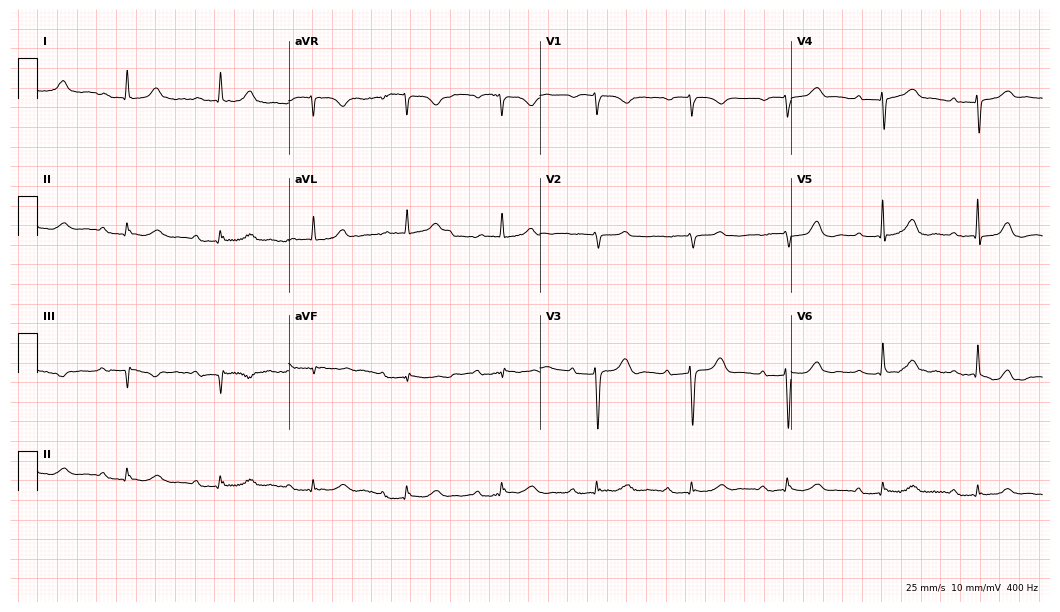
Electrocardiogram, a female, 85 years old. Interpretation includes first-degree AV block.